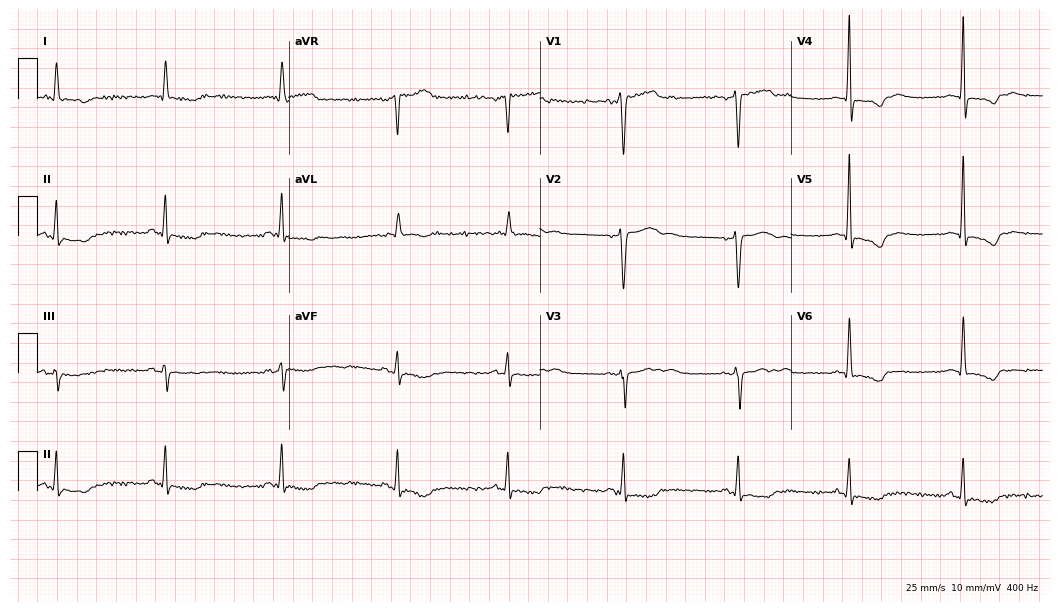
Resting 12-lead electrocardiogram. Patient: a woman, 66 years old. None of these six findings is recorded: first-degree AV block, right bundle branch block, left bundle branch block, sinus bradycardia, atrial fibrillation, sinus tachycardia. Other findings, if any, are not listed.